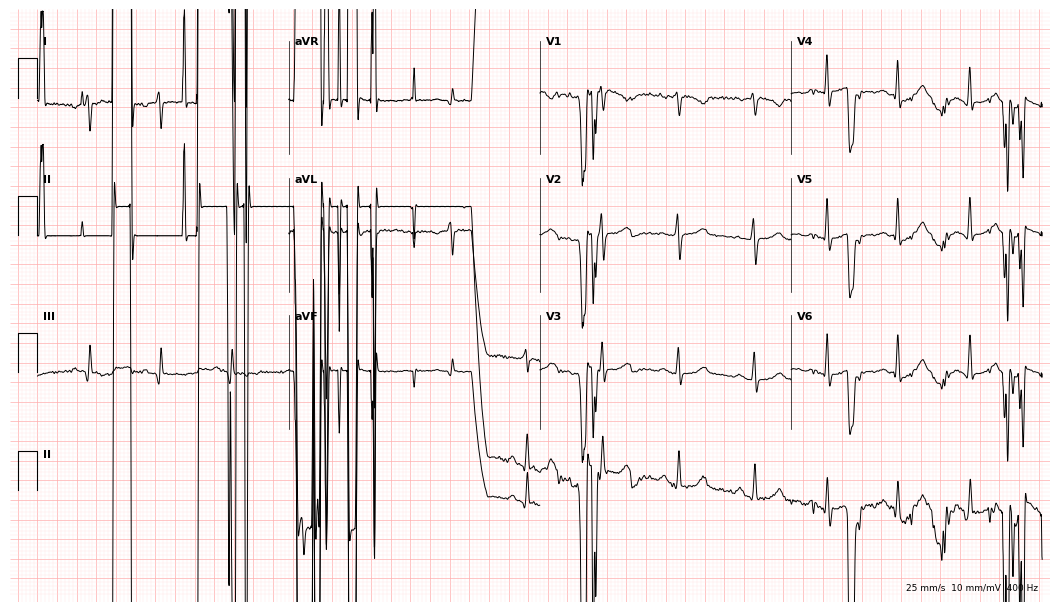
Electrocardiogram (10.2-second recording at 400 Hz), a woman, 37 years old. Of the six screened findings (first-degree AV block, right bundle branch block (RBBB), left bundle branch block (LBBB), sinus bradycardia, atrial fibrillation (AF), sinus tachycardia), none is recorded. Only these six findings were labelled.